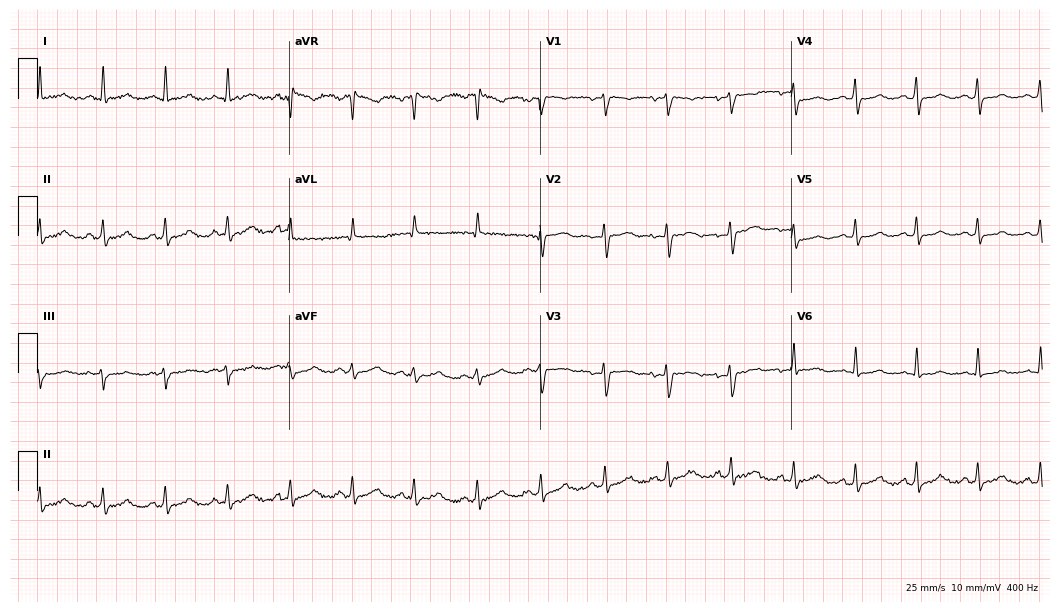
Standard 12-lead ECG recorded from a 35-year-old female patient. Read as a normal ECG.